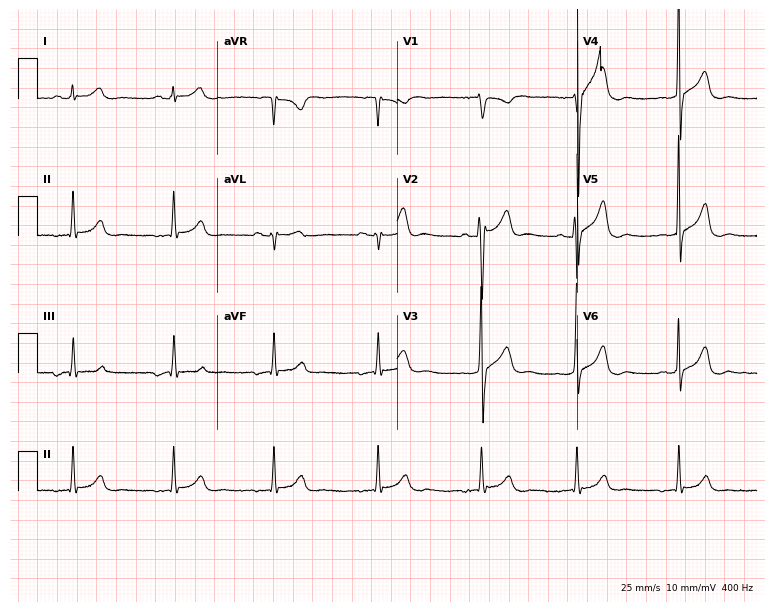
Standard 12-lead ECG recorded from a man, 30 years old. None of these six findings is recorded: first-degree AV block, right bundle branch block (RBBB), left bundle branch block (LBBB), sinus bradycardia, atrial fibrillation (AF), sinus tachycardia. Findings outside these six are not listed.